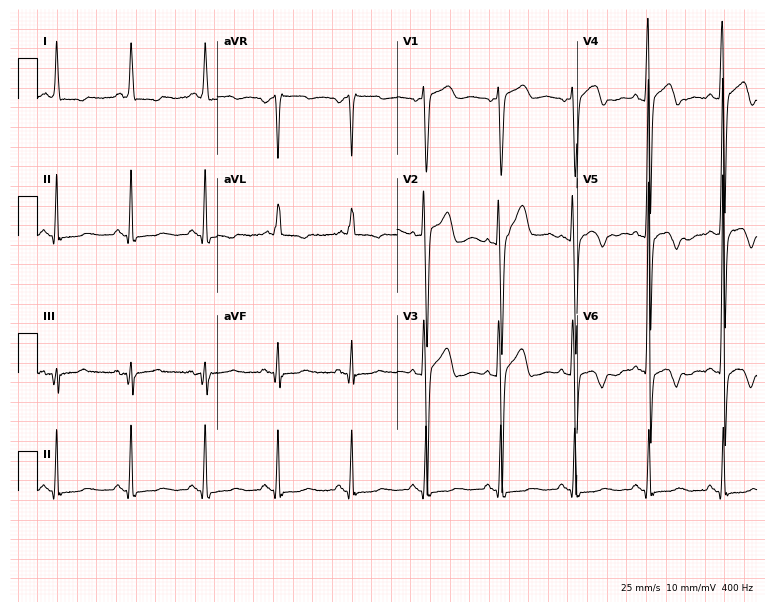
Standard 12-lead ECG recorded from a 73-year-old male patient. None of these six findings is recorded: first-degree AV block, right bundle branch block, left bundle branch block, sinus bradycardia, atrial fibrillation, sinus tachycardia.